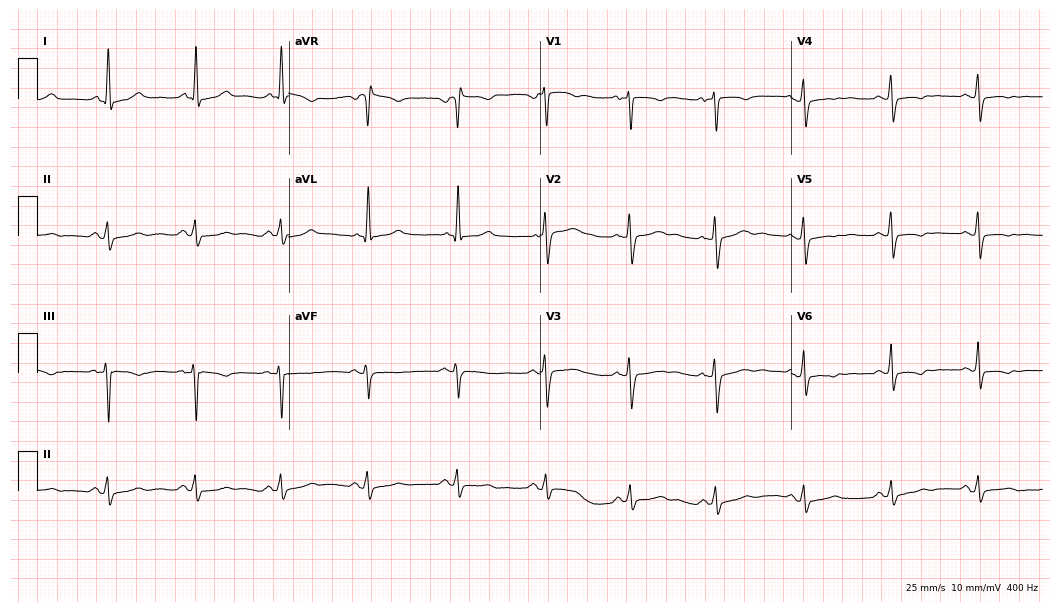
12-lead ECG from a male patient, 50 years old. No first-degree AV block, right bundle branch block, left bundle branch block, sinus bradycardia, atrial fibrillation or sinus tachycardia recorded for this tracing.